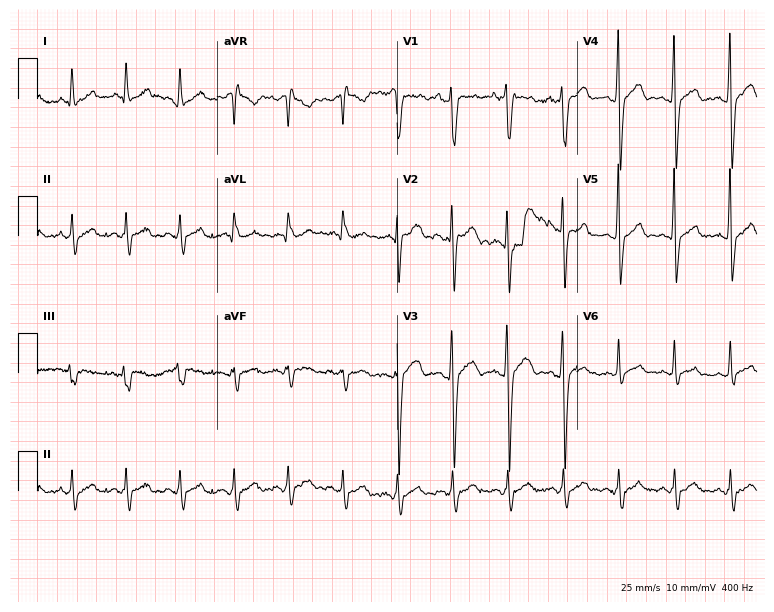
12-lead ECG (7.3-second recording at 400 Hz) from a 45-year-old male. Findings include sinus tachycardia (a sinus rate of 100 beats per minute or more).